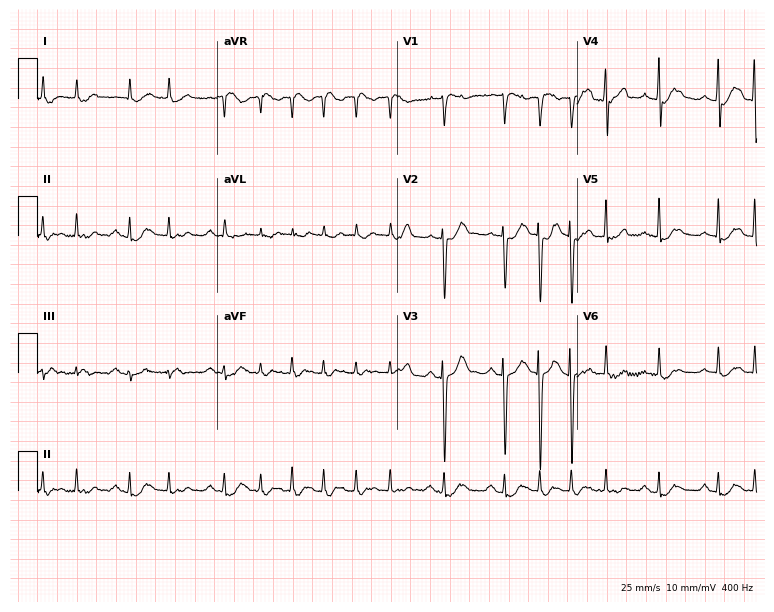
Resting 12-lead electrocardiogram. Patient: an 85-year-old woman. None of these six findings is recorded: first-degree AV block, right bundle branch block (RBBB), left bundle branch block (LBBB), sinus bradycardia, atrial fibrillation (AF), sinus tachycardia.